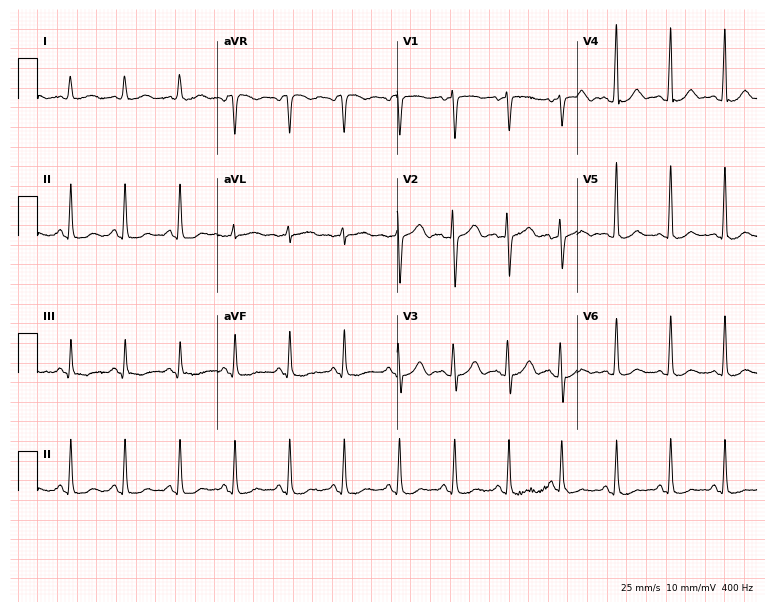
Standard 12-lead ECG recorded from a woman, 65 years old. None of these six findings is recorded: first-degree AV block, right bundle branch block, left bundle branch block, sinus bradycardia, atrial fibrillation, sinus tachycardia.